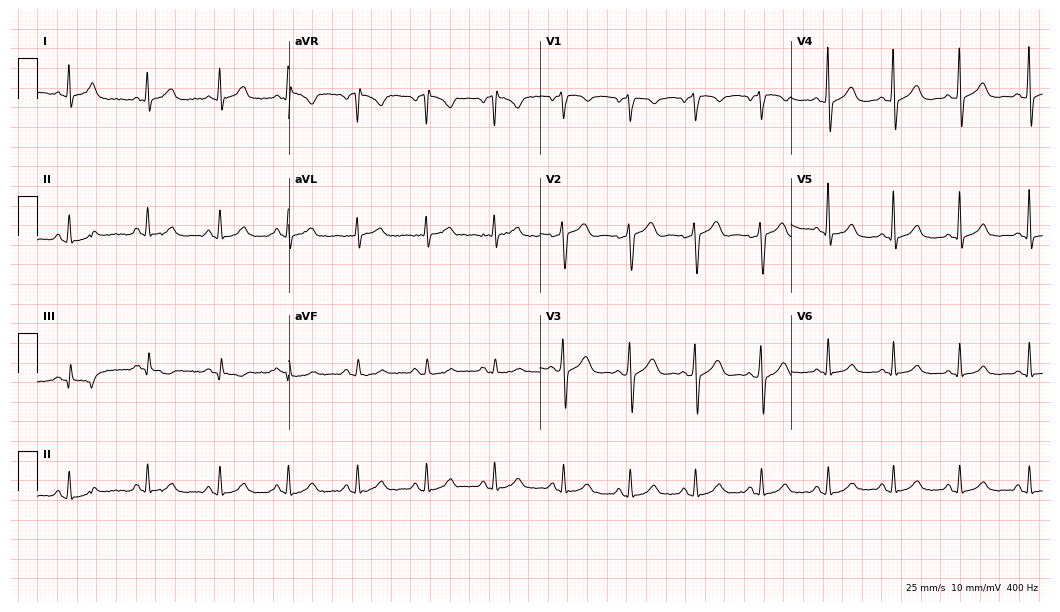
12-lead ECG (10.2-second recording at 400 Hz) from a 57-year-old male patient. Labelled as a normal ECG.